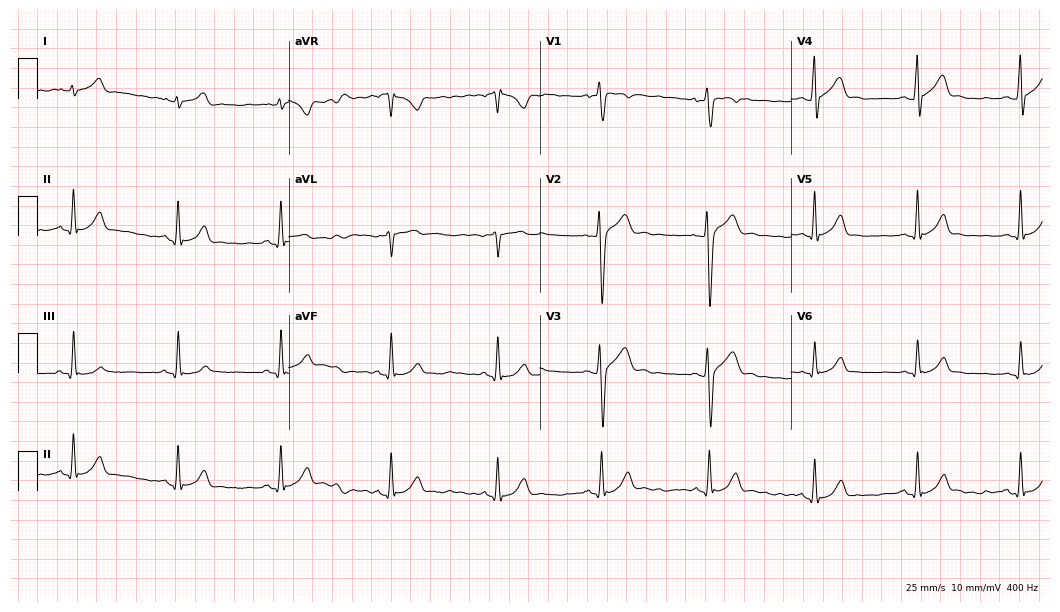
12-lead ECG (10.2-second recording at 400 Hz) from a male, 19 years old. Labelled as a normal ECG.